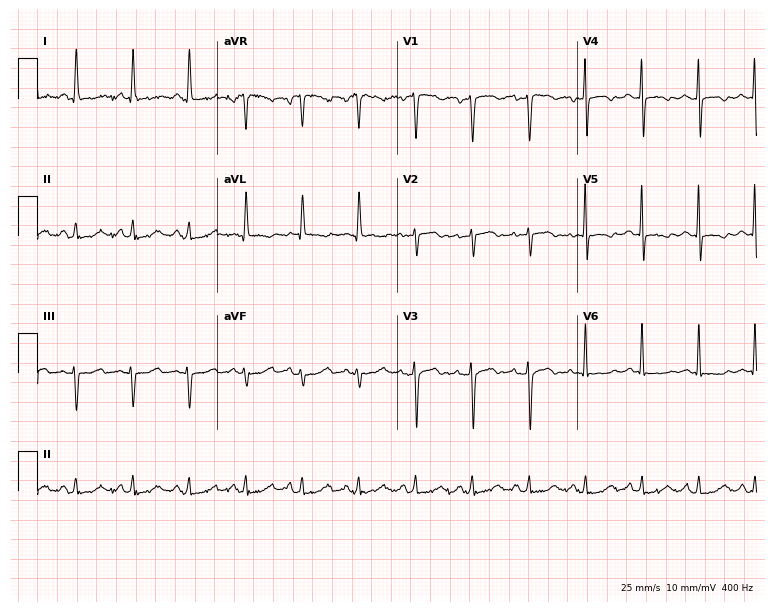
ECG (7.3-second recording at 400 Hz) — a woman, 58 years old. Screened for six findings — first-degree AV block, right bundle branch block, left bundle branch block, sinus bradycardia, atrial fibrillation, sinus tachycardia — none is recorded. Findings outside these six are not listed.